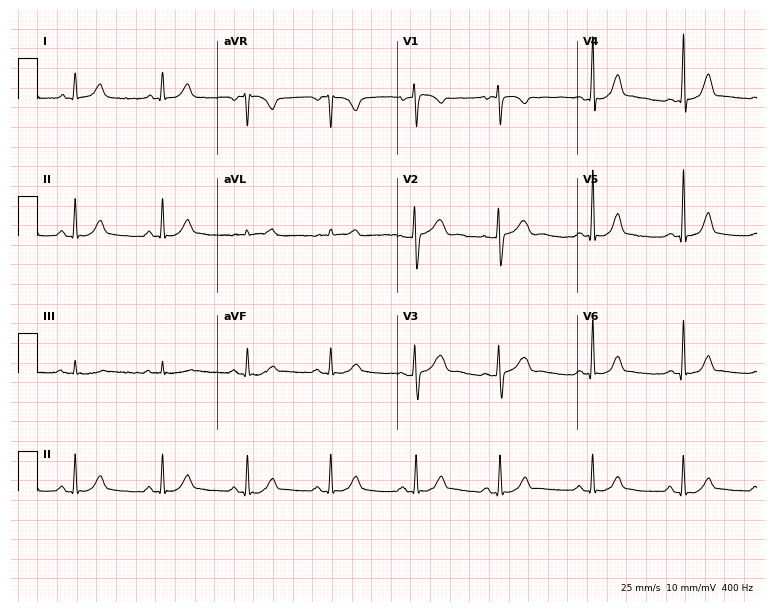
12-lead ECG from a woman, 50 years old. Screened for six findings — first-degree AV block, right bundle branch block, left bundle branch block, sinus bradycardia, atrial fibrillation, sinus tachycardia — none is recorded. Findings outside these six are not listed.